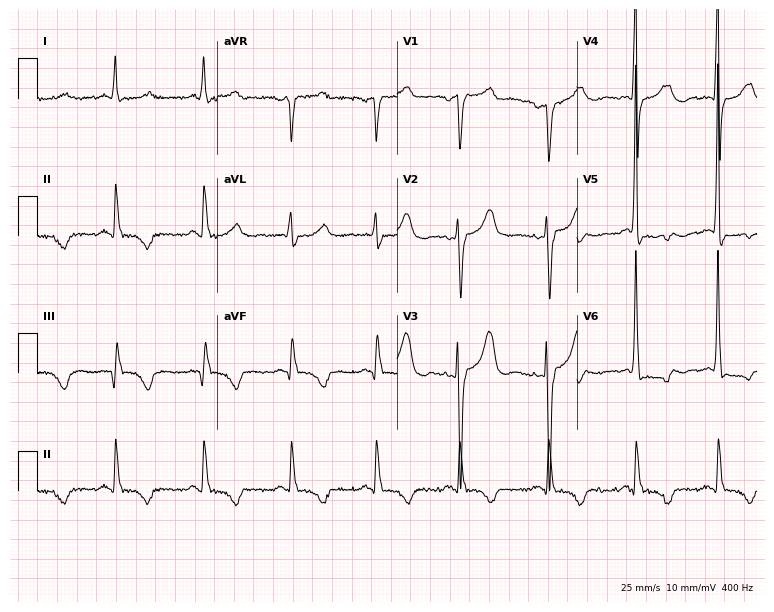
ECG — a female patient, 51 years old. Screened for six findings — first-degree AV block, right bundle branch block, left bundle branch block, sinus bradycardia, atrial fibrillation, sinus tachycardia — none is recorded.